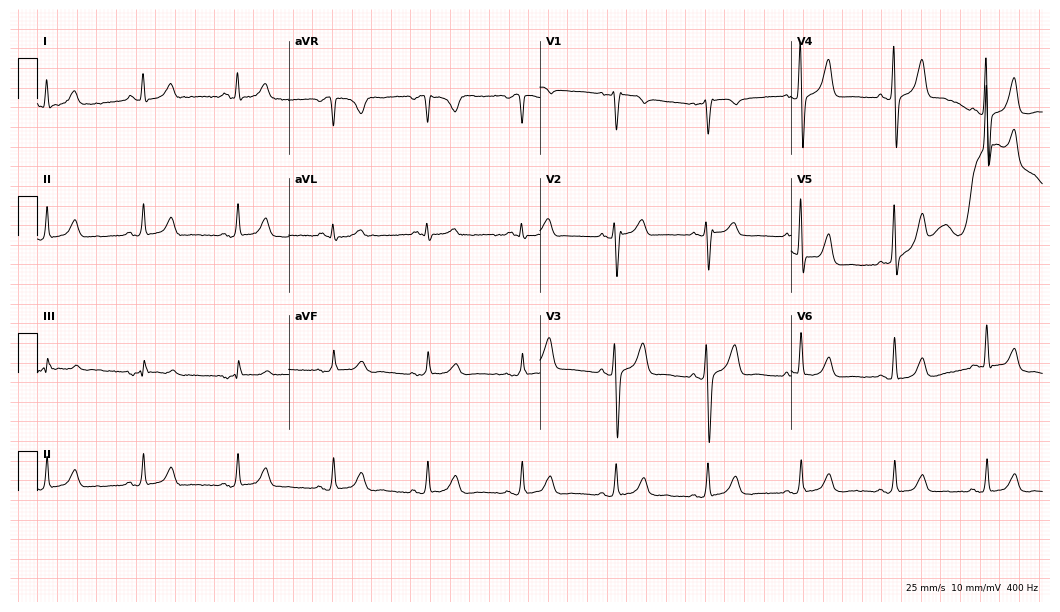
Electrocardiogram (10.2-second recording at 400 Hz), a male, 67 years old. Overall reading on record: normal ECG.